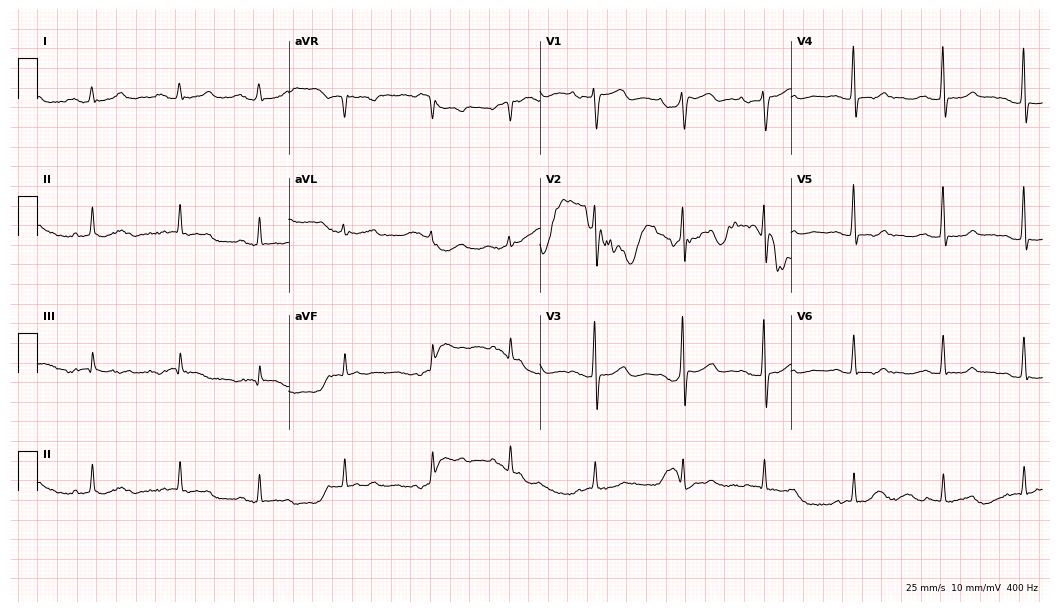
ECG (10.2-second recording at 400 Hz) — a male patient, 83 years old. Screened for six findings — first-degree AV block, right bundle branch block, left bundle branch block, sinus bradycardia, atrial fibrillation, sinus tachycardia — none is recorded. Other findings, if any, are not listed.